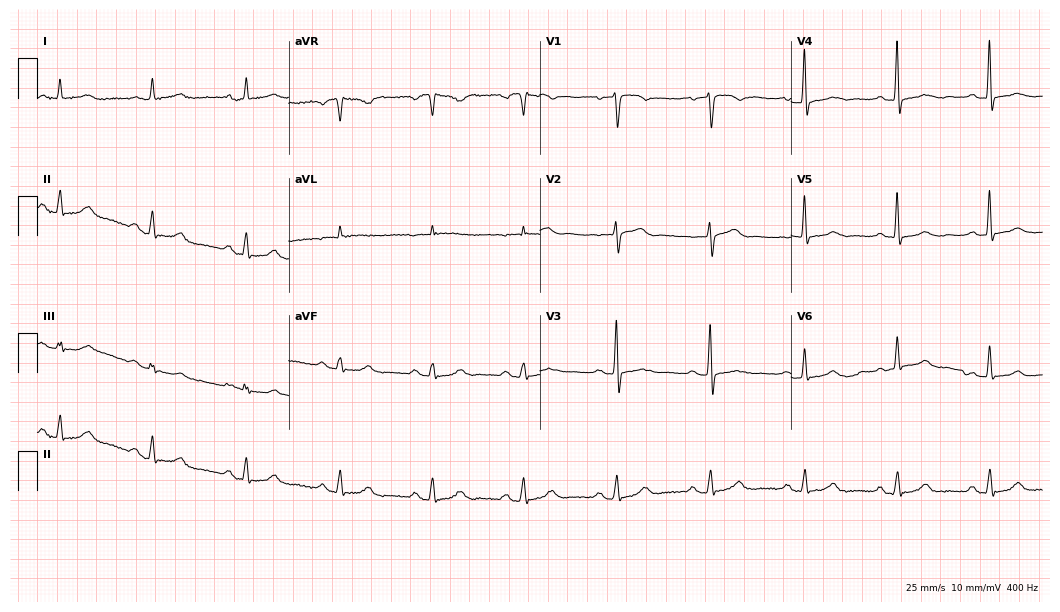
12-lead ECG from a female patient, 62 years old. No first-degree AV block, right bundle branch block, left bundle branch block, sinus bradycardia, atrial fibrillation or sinus tachycardia recorded for this tracing.